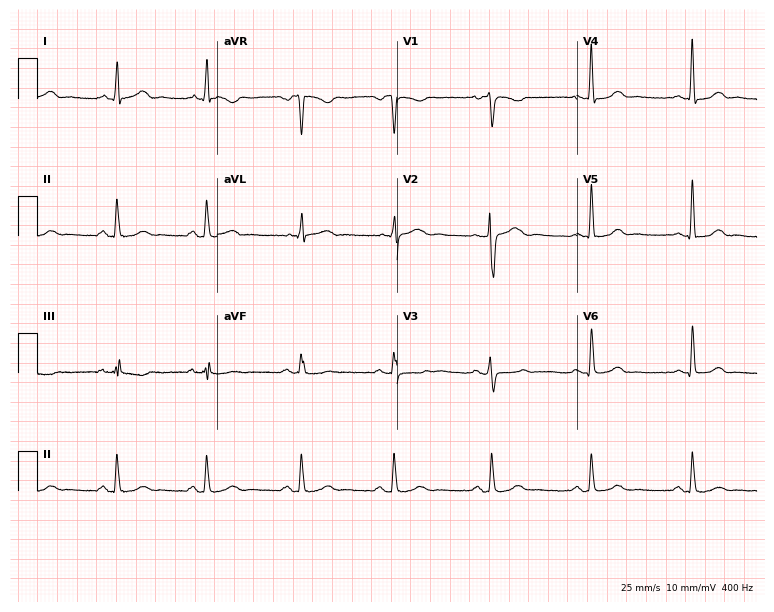
12-lead ECG from a 30-year-old woman (7.3-second recording at 400 Hz). Recorded interpretation: within normal limits.